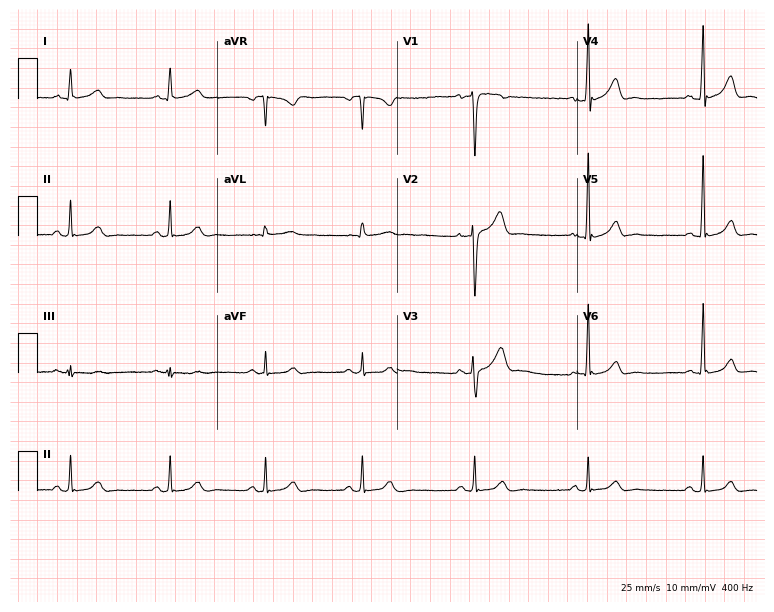
ECG (7.3-second recording at 400 Hz) — a 52-year-old male patient. Labelled as a normal ECG.